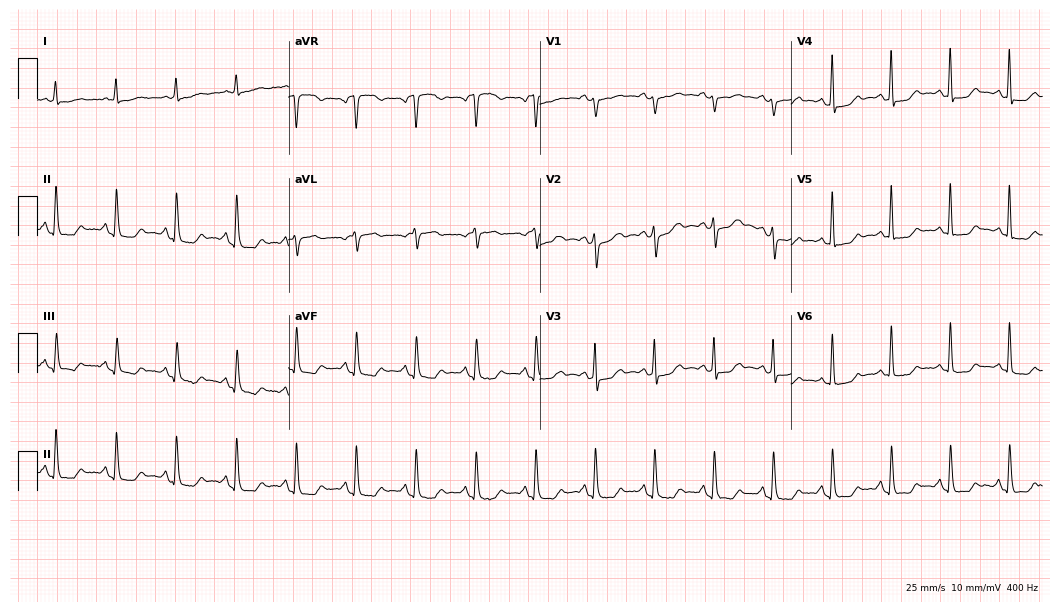
12-lead ECG from an 84-year-old female. No first-degree AV block, right bundle branch block, left bundle branch block, sinus bradycardia, atrial fibrillation or sinus tachycardia recorded for this tracing.